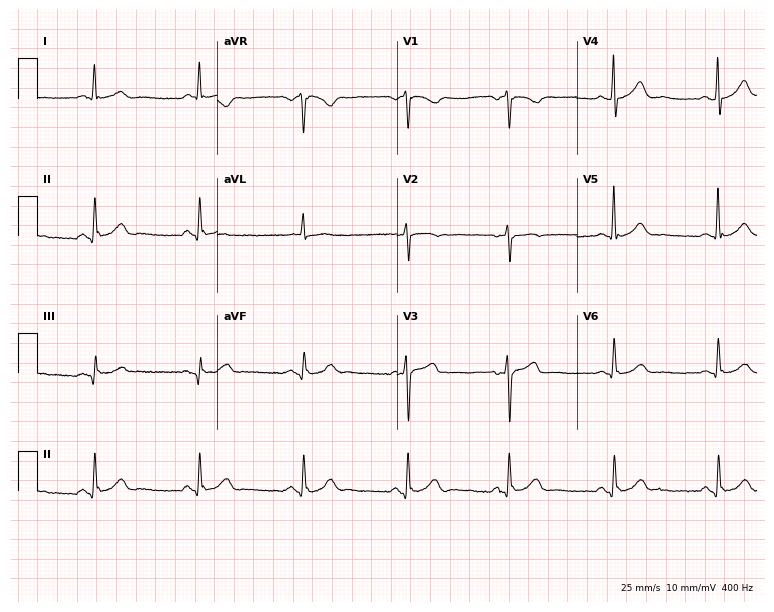
ECG (7.3-second recording at 400 Hz) — a 68-year-old man. Labelled as a normal ECG.